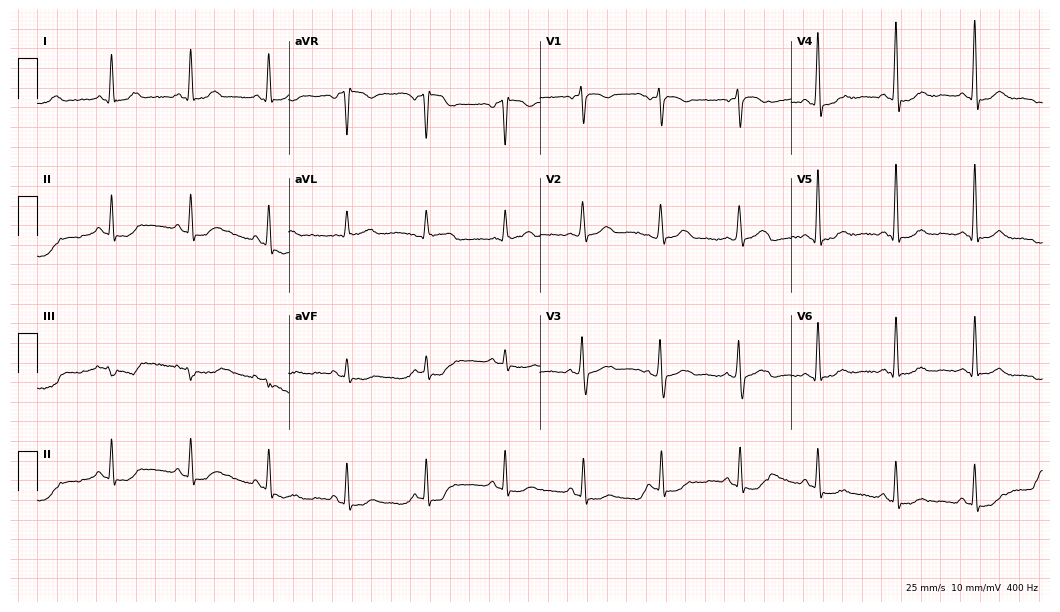
12-lead ECG from a female, 57 years old (10.2-second recording at 400 Hz). No first-degree AV block, right bundle branch block, left bundle branch block, sinus bradycardia, atrial fibrillation or sinus tachycardia recorded for this tracing.